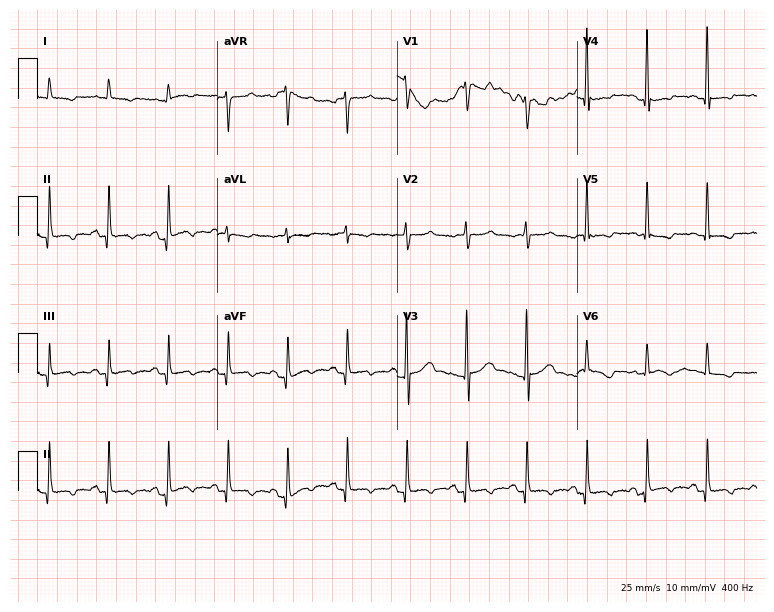
Standard 12-lead ECG recorded from a 77-year-old male patient. None of these six findings is recorded: first-degree AV block, right bundle branch block (RBBB), left bundle branch block (LBBB), sinus bradycardia, atrial fibrillation (AF), sinus tachycardia. Other findings, if any, are not listed.